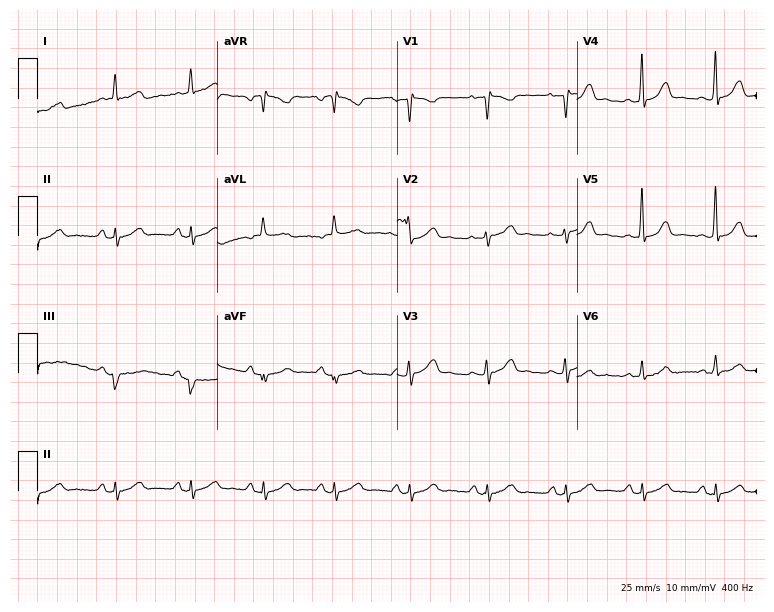
12-lead ECG (7.3-second recording at 400 Hz) from a 45-year-old woman. Screened for six findings — first-degree AV block, right bundle branch block, left bundle branch block, sinus bradycardia, atrial fibrillation, sinus tachycardia — none is recorded.